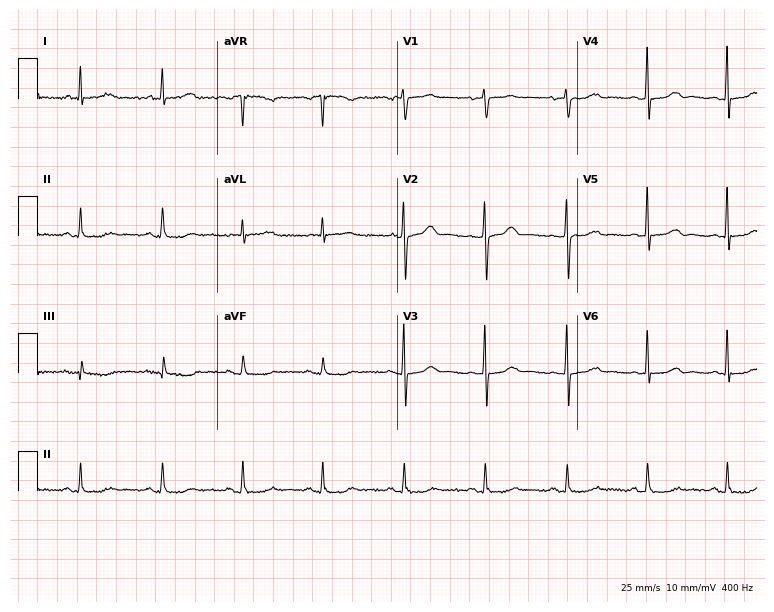
ECG (7.3-second recording at 400 Hz) — a woman, 70 years old. Screened for six findings — first-degree AV block, right bundle branch block, left bundle branch block, sinus bradycardia, atrial fibrillation, sinus tachycardia — none is recorded. Only these six findings were labelled.